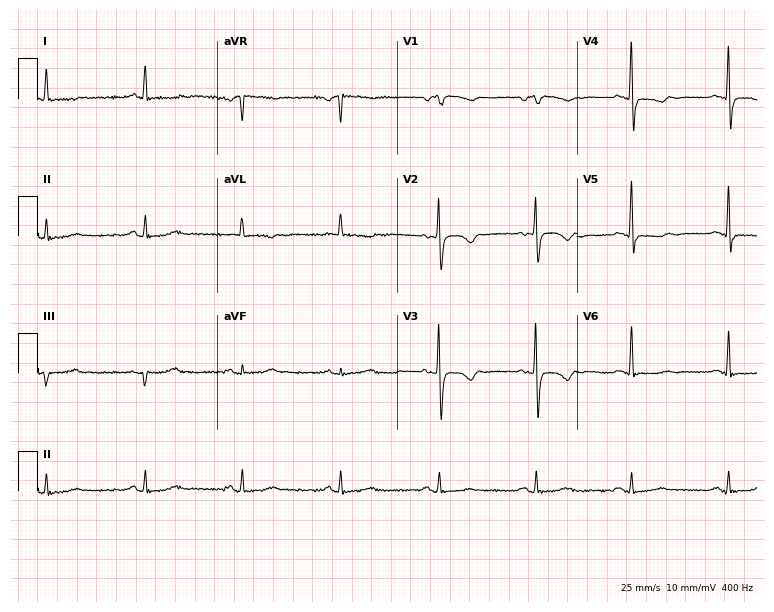
Resting 12-lead electrocardiogram (7.3-second recording at 400 Hz). Patient: a woman, 77 years old. Read as a normal ECG.